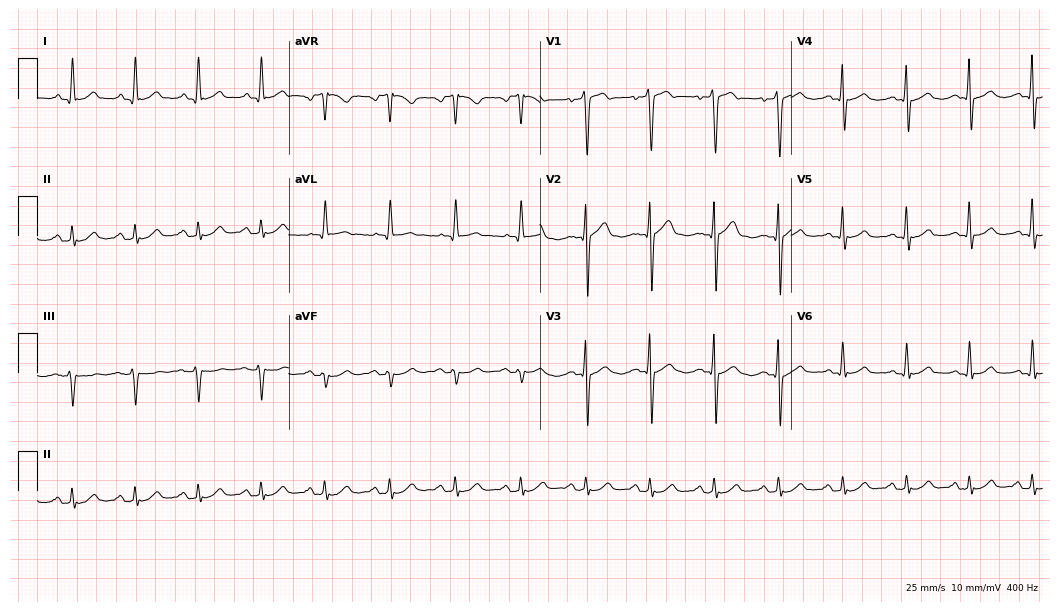
12-lead ECG (10.2-second recording at 400 Hz) from a man, 58 years old. Labelled as a normal ECG.